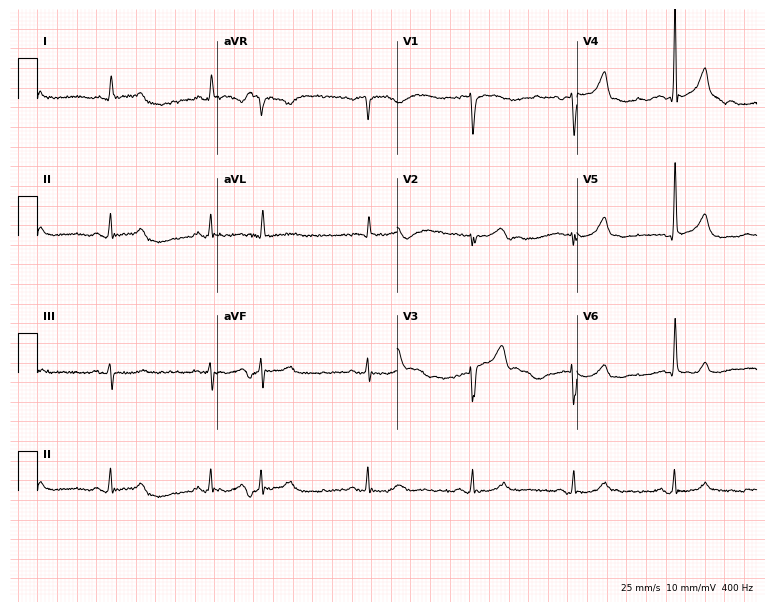
12-lead ECG from a 77-year-old man (7.3-second recording at 400 Hz). Recorded interpretation: within normal limits.